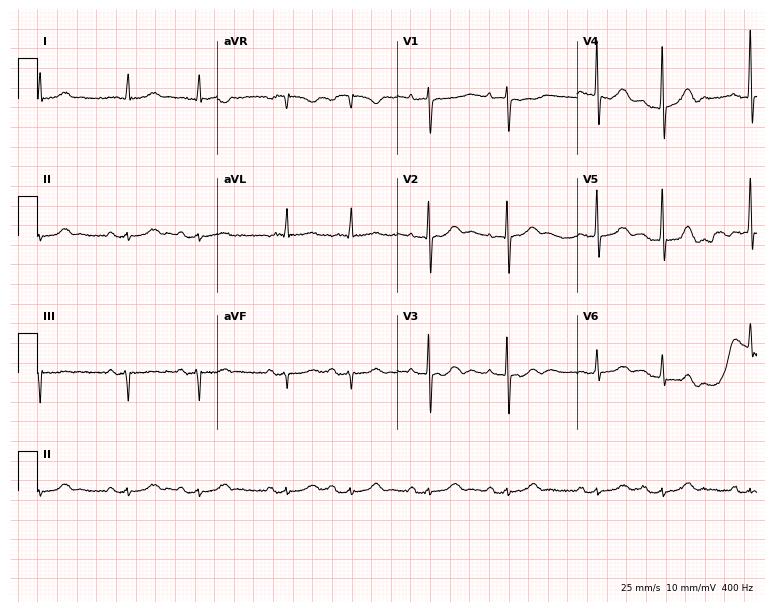
Electrocardiogram, a 72-year-old female. Of the six screened findings (first-degree AV block, right bundle branch block (RBBB), left bundle branch block (LBBB), sinus bradycardia, atrial fibrillation (AF), sinus tachycardia), none is recorded. Other findings, if any, are not listed.